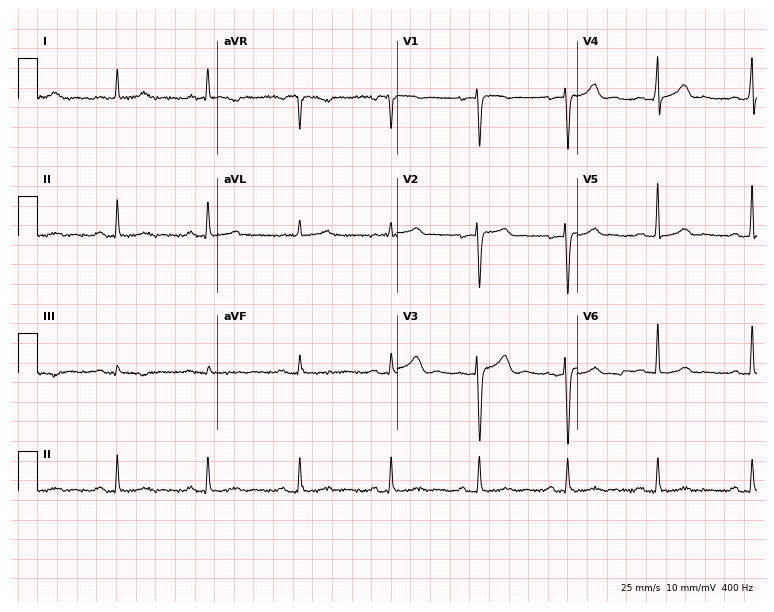
ECG (7.3-second recording at 400 Hz) — a woman, 45 years old. Screened for six findings — first-degree AV block, right bundle branch block, left bundle branch block, sinus bradycardia, atrial fibrillation, sinus tachycardia — none is recorded. Other findings, if any, are not listed.